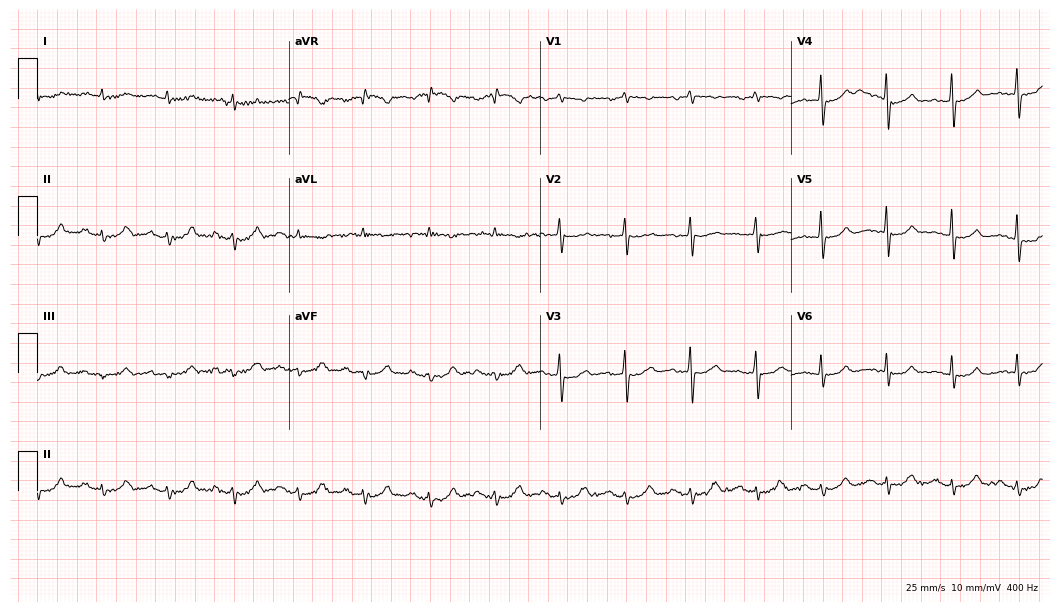
Resting 12-lead electrocardiogram. Patient: a 71-year-old man. Read as a normal ECG.